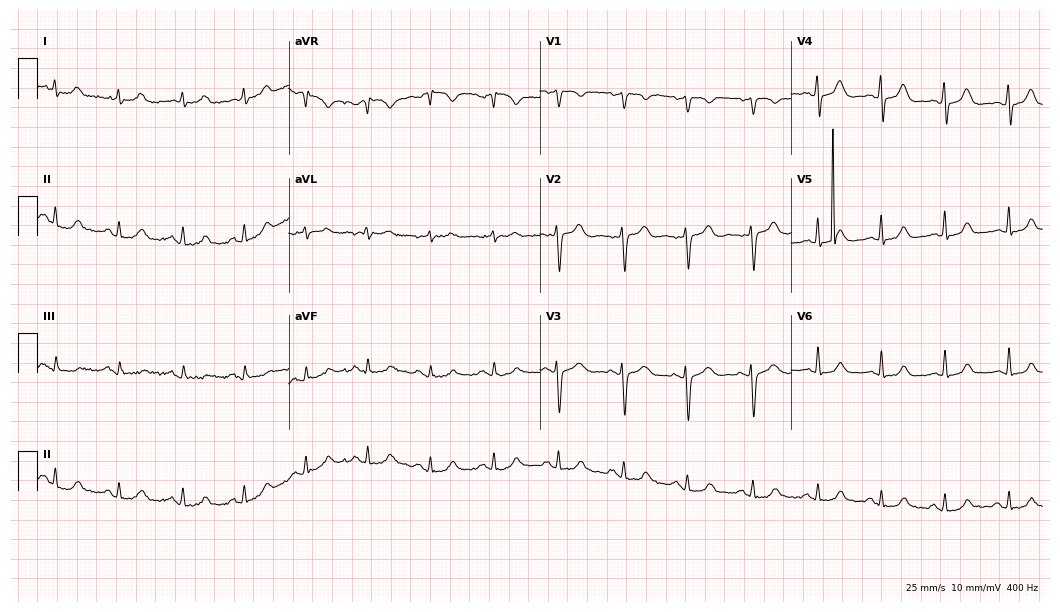
12-lead ECG from a woman, 33 years old. Recorded interpretation: within normal limits.